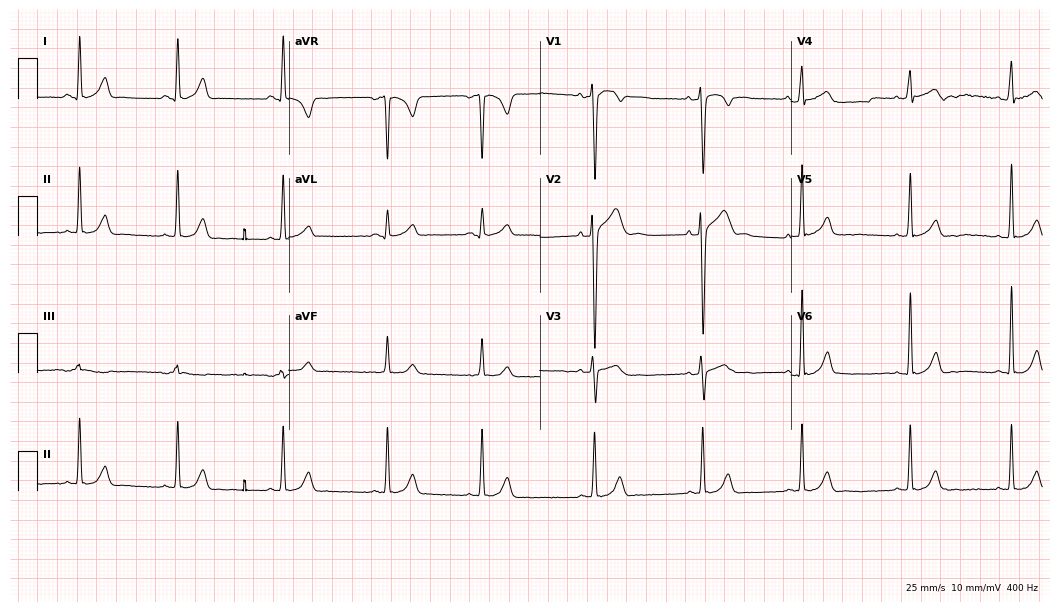
Electrocardiogram (10.2-second recording at 400 Hz), an 18-year-old man. Of the six screened findings (first-degree AV block, right bundle branch block, left bundle branch block, sinus bradycardia, atrial fibrillation, sinus tachycardia), none is recorded. Other findings, if any, are not listed.